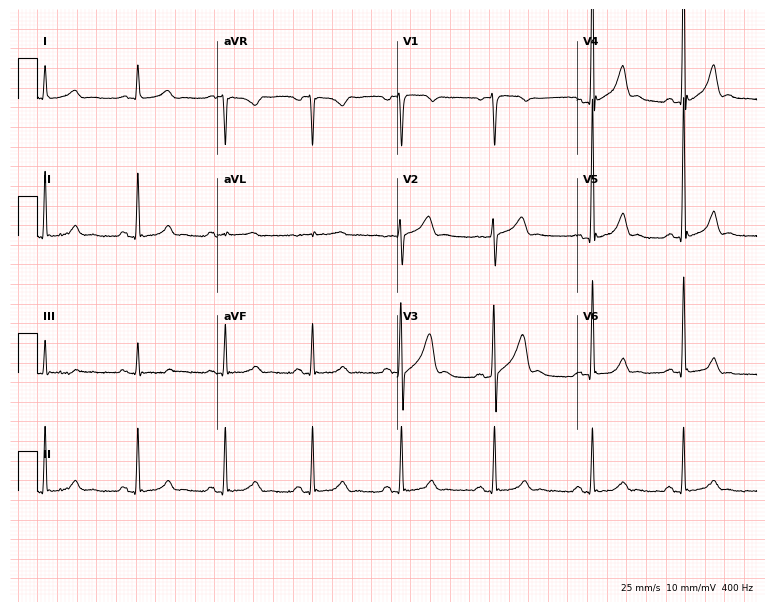
Standard 12-lead ECG recorded from a male patient, 49 years old (7.3-second recording at 400 Hz). Read as a normal ECG.